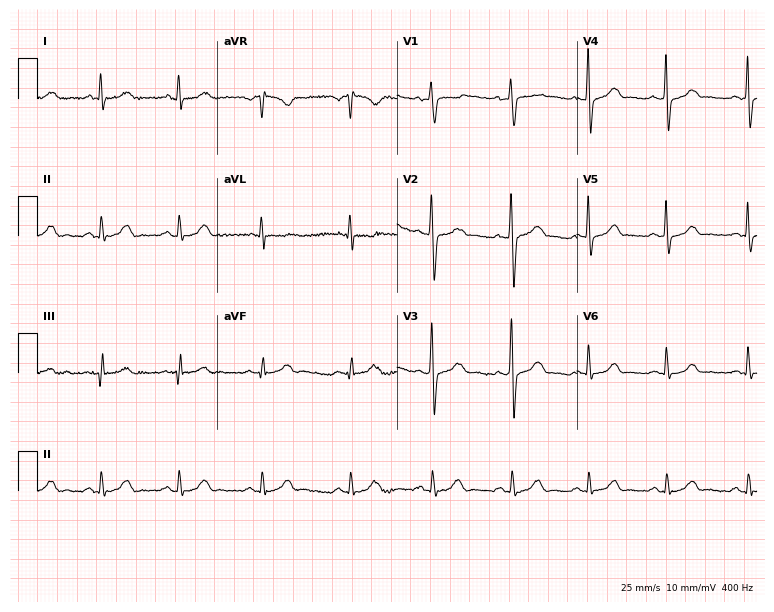
Resting 12-lead electrocardiogram (7.3-second recording at 400 Hz). Patient: a man, 41 years old. None of these six findings is recorded: first-degree AV block, right bundle branch block, left bundle branch block, sinus bradycardia, atrial fibrillation, sinus tachycardia.